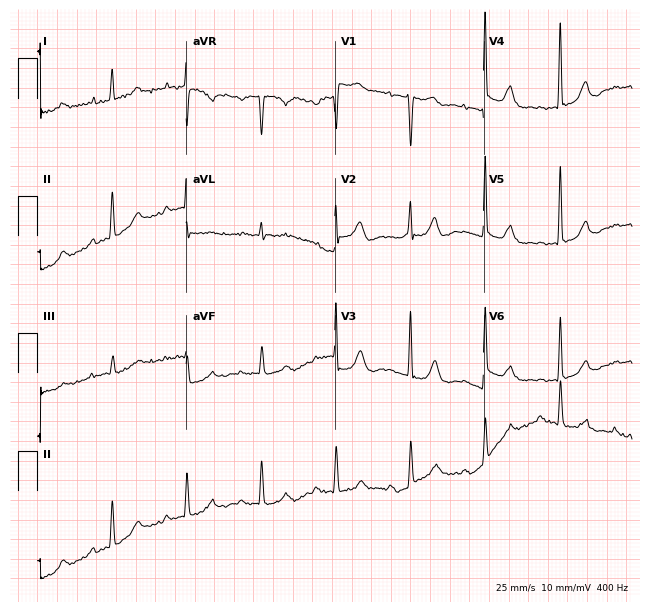
12-lead ECG from an 81-year-old female patient. Recorded interpretation: within normal limits.